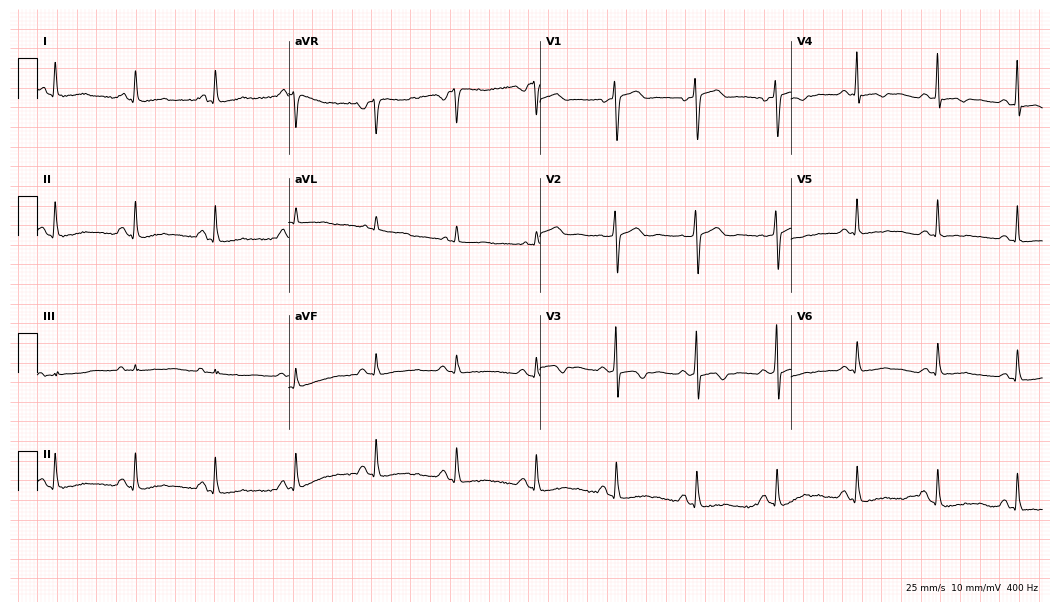
Electrocardiogram (10.2-second recording at 400 Hz), a 61-year-old female patient. Of the six screened findings (first-degree AV block, right bundle branch block, left bundle branch block, sinus bradycardia, atrial fibrillation, sinus tachycardia), none is recorded.